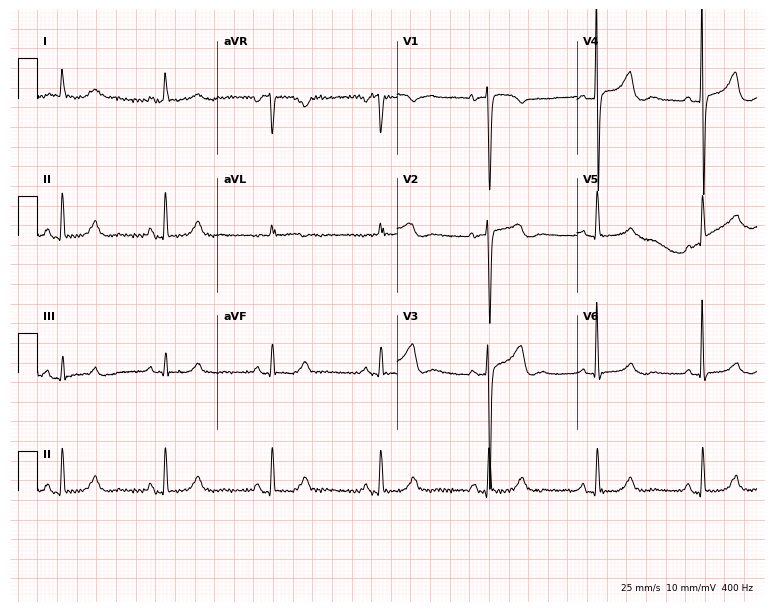
Electrocardiogram (7.3-second recording at 400 Hz), a woman, 71 years old. Of the six screened findings (first-degree AV block, right bundle branch block, left bundle branch block, sinus bradycardia, atrial fibrillation, sinus tachycardia), none is recorded. Only these six findings were labelled.